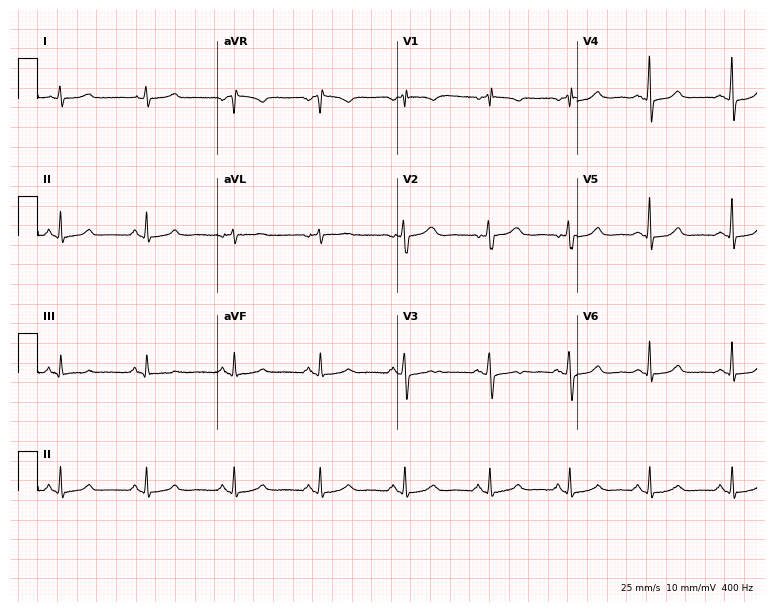
ECG — a 69-year-old woman. Screened for six findings — first-degree AV block, right bundle branch block, left bundle branch block, sinus bradycardia, atrial fibrillation, sinus tachycardia — none is recorded.